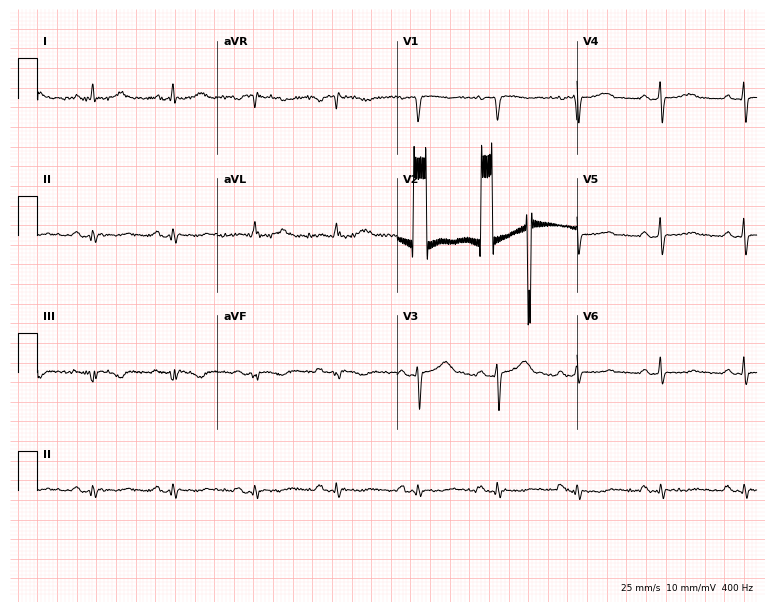
Resting 12-lead electrocardiogram (7.3-second recording at 400 Hz). Patient: a 54-year-old female. None of these six findings is recorded: first-degree AV block, right bundle branch block, left bundle branch block, sinus bradycardia, atrial fibrillation, sinus tachycardia.